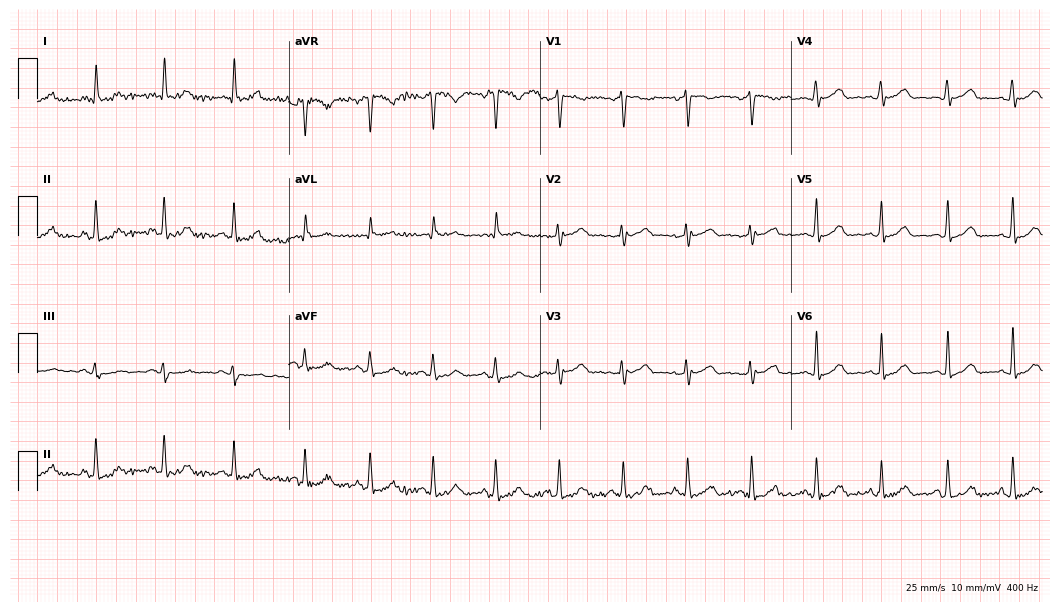
12-lead ECG from a 46-year-old female (10.2-second recording at 400 Hz). Recorded interpretation: within normal limits.